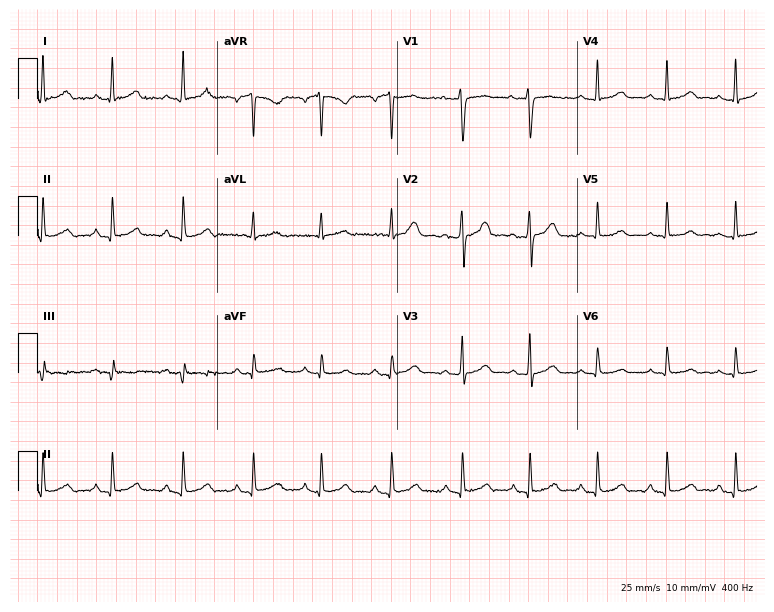
Standard 12-lead ECG recorded from a woman, 36 years old. None of these six findings is recorded: first-degree AV block, right bundle branch block (RBBB), left bundle branch block (LBBB), sinus bradycardia, atrial fibrillation (AF), sinus tachycardia.